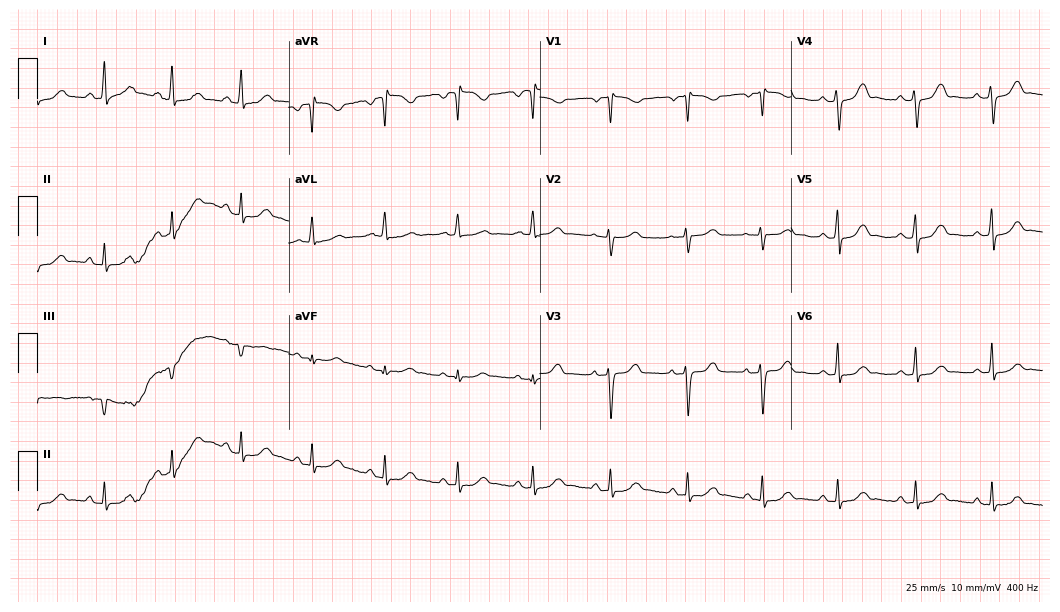
Resting 12-lead electrocardiogram (10.2-second recording at 400 Hz). Patient: a female, 39 years old. Read as a normal ECG.